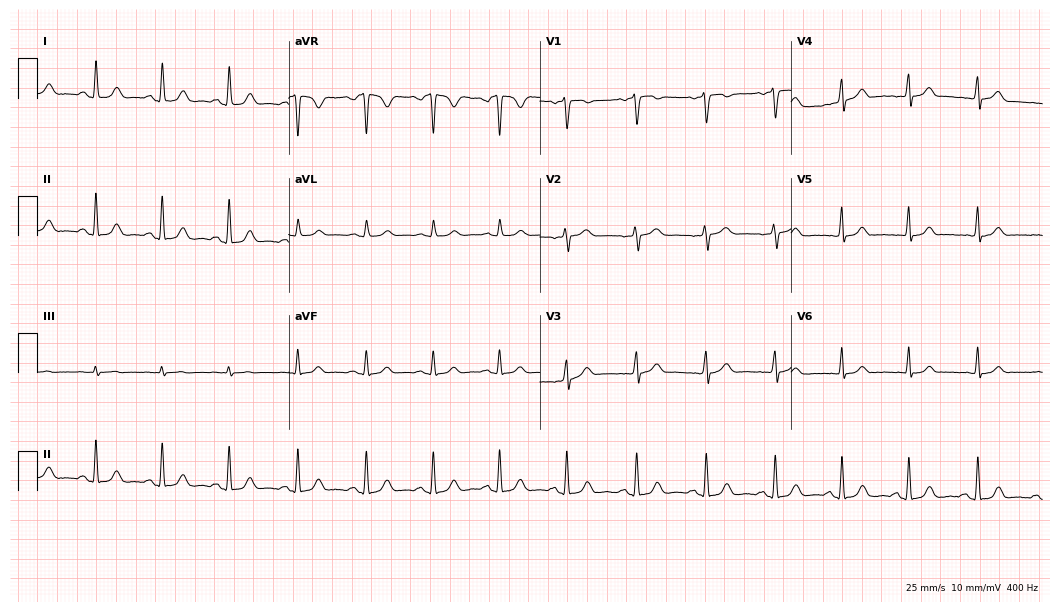
Standard 12-lead ECG recorded from a 46-year-old female patient (10.2-second recording at 400 Hz). None of these six findings is recorded: first-degree AV block, right bundle branch block (RBBB), left bundle branch block (LBBB), sinus bradycardia, atrial fibrillation (AF), sinus tachycardia.